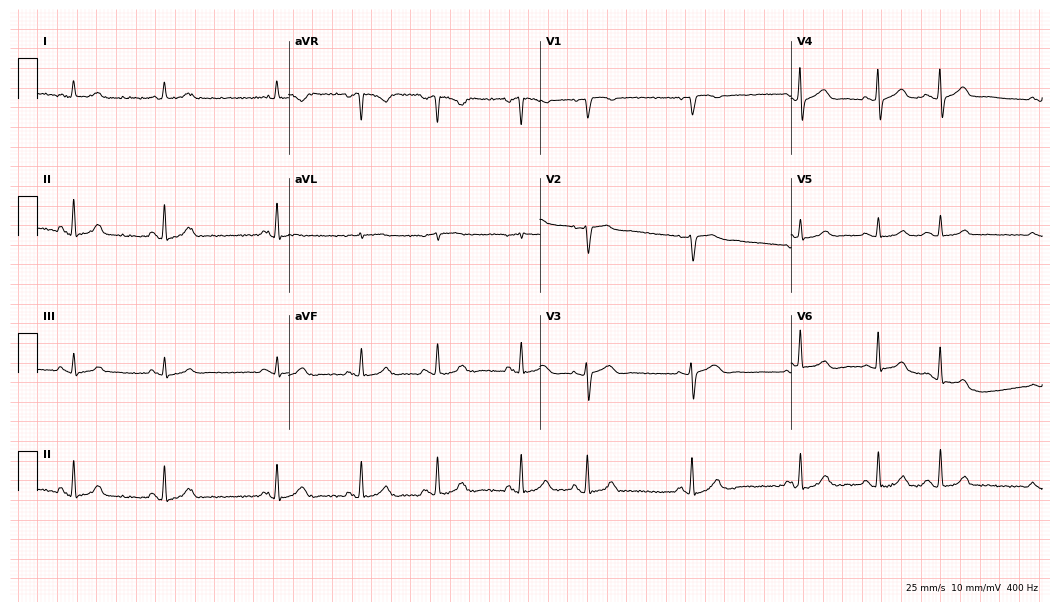
Electrocardiogram (10.2-second recording at 400 Hz), an 85-year-old female patient. Of the six screened findings (first-degree AV block, right bundle branch block (RBBB), left bundle branch block (LBBB), sinus bradycardia, atrial fibrillation (AF), sinus tachycardia), none is recorded.